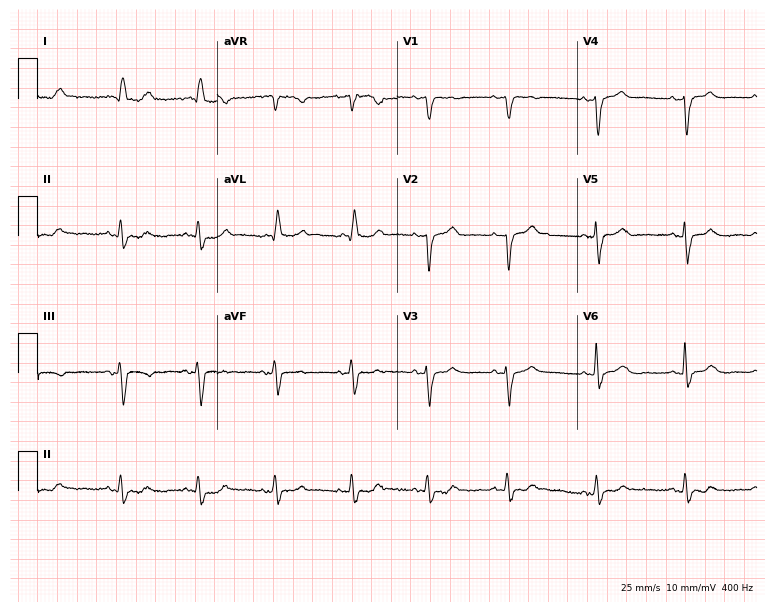
12-lead ECG from a female patient, 85 years old. Screened for six findings — first-degree AV block, right bundle branch block, left bundle branch block, sinus bradycardia, atrial fibrillation, sinus tachycardia — none is recorded.